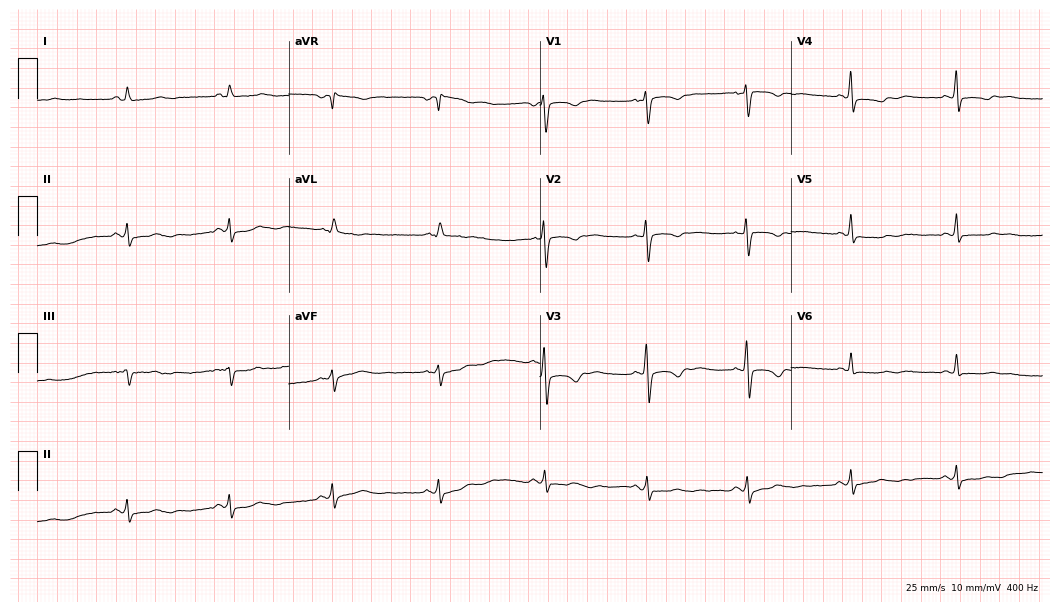
Standard 12-lead ECG recorded from a 47-year-old female patient. None of these six findings is recorded: first-degree AV block, right bundle branch block, left bundle branch block, sinus bradycardia, atrial fibrillation, sinus tachycardia. Other findings, if any, are not listed.